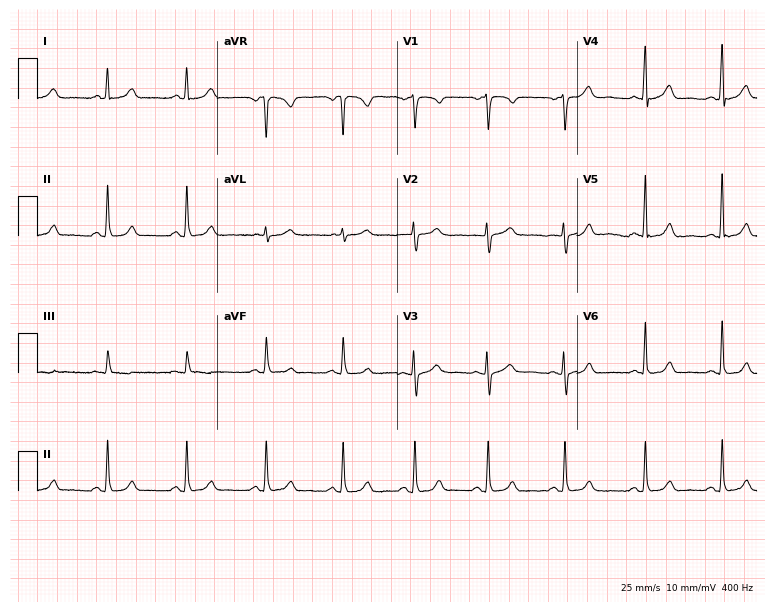
12-lead ECG (7.3-second recording at 400 Hz) from a 37-year-old female. Labelled as a normal ECG.